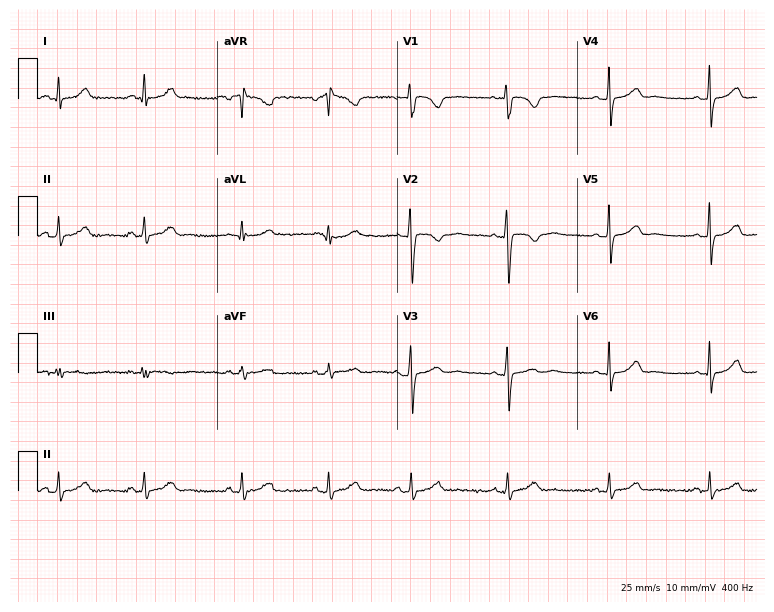
ECG — a woman, 31 years old. Labelled as a normal ECG.